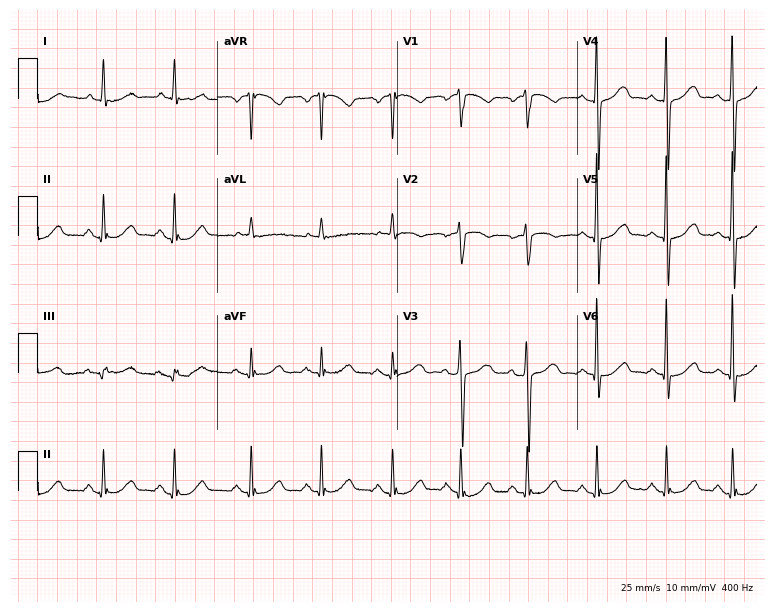
12-lead ECG from a woman, 73 years old. Labelled as a normal ECG.